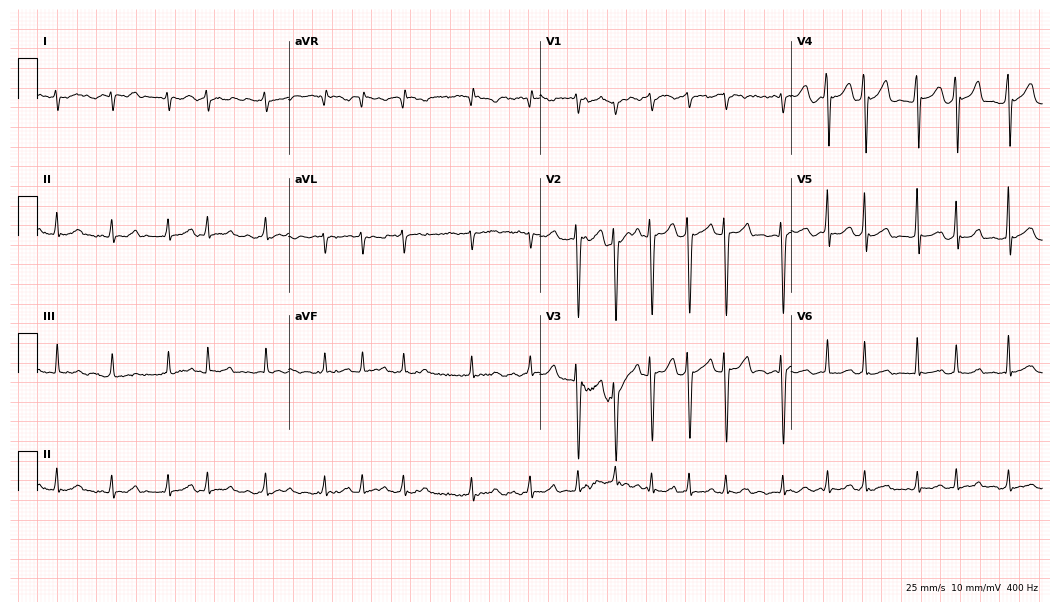
12-lead ECG from a 38-year-old female (10.2-second recording at 400 Hz). Shows atrial fibrillation (AF).